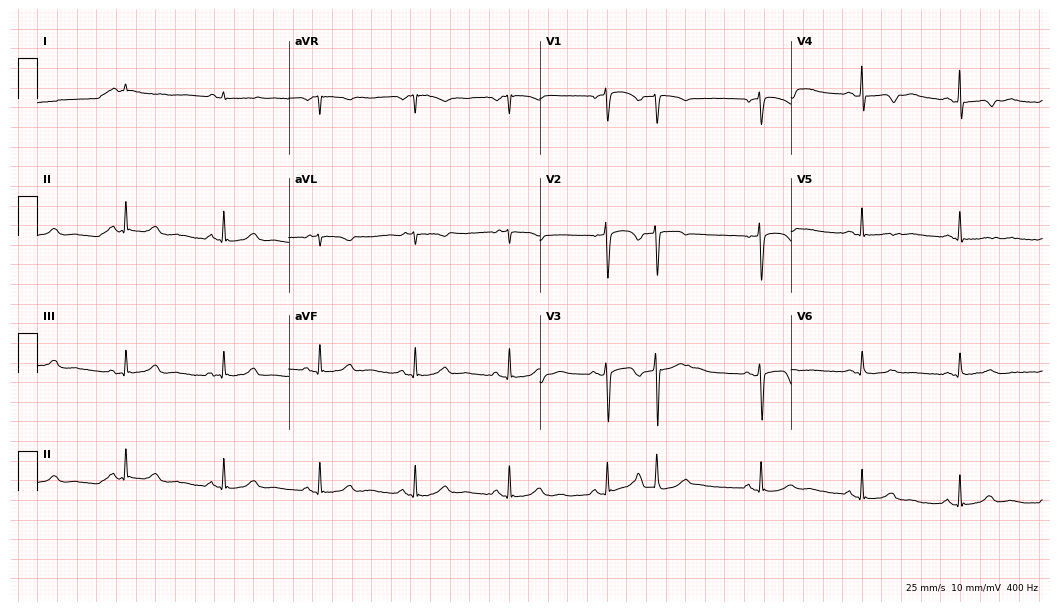
ECG (10.2-second recording at 400 Hz) — a female, 71 years old. Screened for six findings — first-degree AV block, right bundle branch block, left bundle branch block, sinus bradycardia, atrial fibrillation, sinus tachycardia — none is recorded. Only these six findings were labelled.